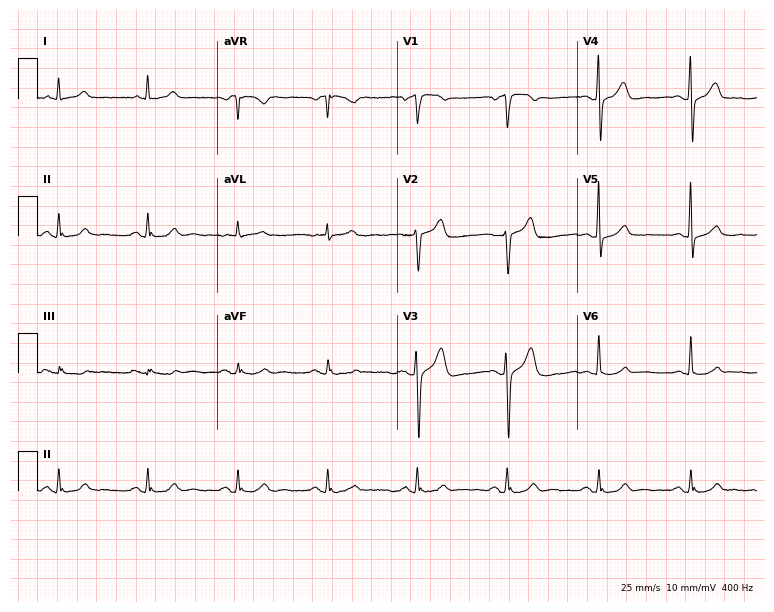
12-lead ECG from a male patient, 51 years old (7.3-second recording at 400 Hz). Recorded interpretation: within normal limits.